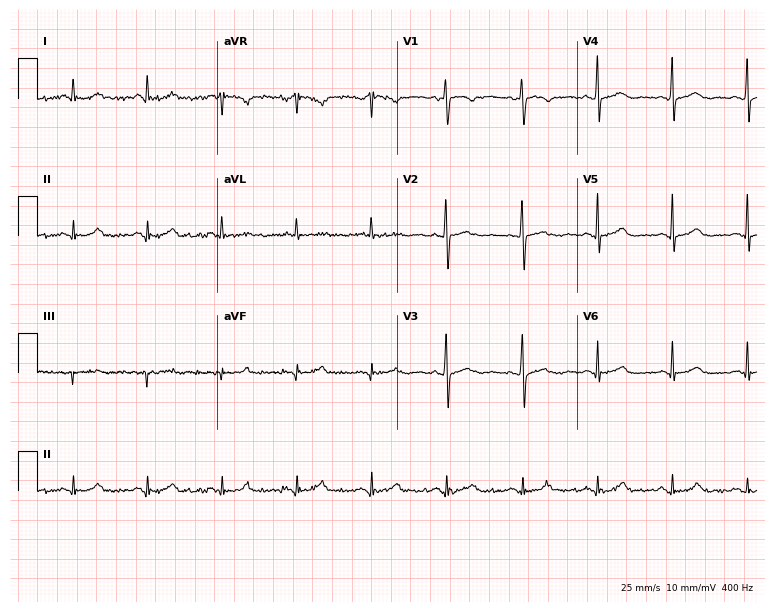
Electrocardiogram, a 41-year-old female patient. Of the six screened findings (first-degree AV block, right bundle branch block, left bundle branch block, sinus bradycardia, atrial fibrillation, sinus tachycardia), none is recorded.